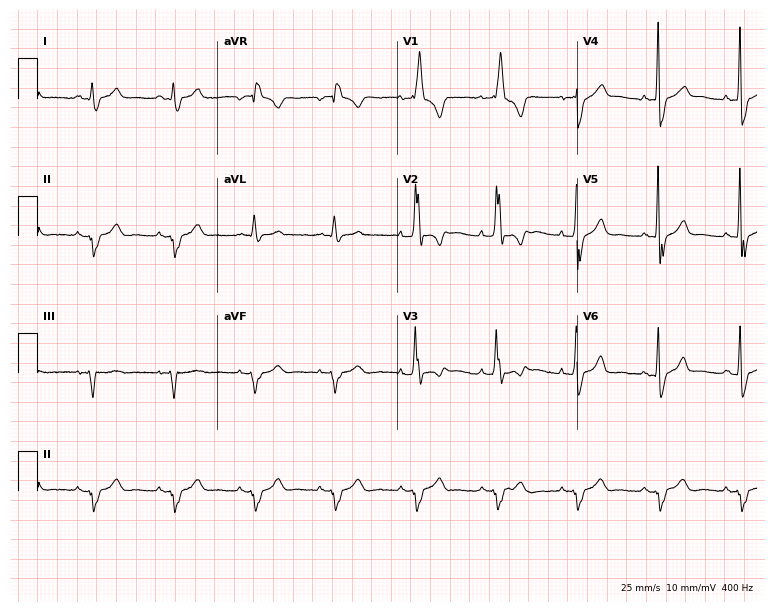
Electrocardiogram (7.3-second recording at 400 Hz), a man, 46 years old. Of the six screened findings (first-degree AV block, right bundle branch block, left bundle branch block, sinus bradycardia, atrial fibrillation, sinus tachycardia), none is recorded. Only these six findings were labelled.